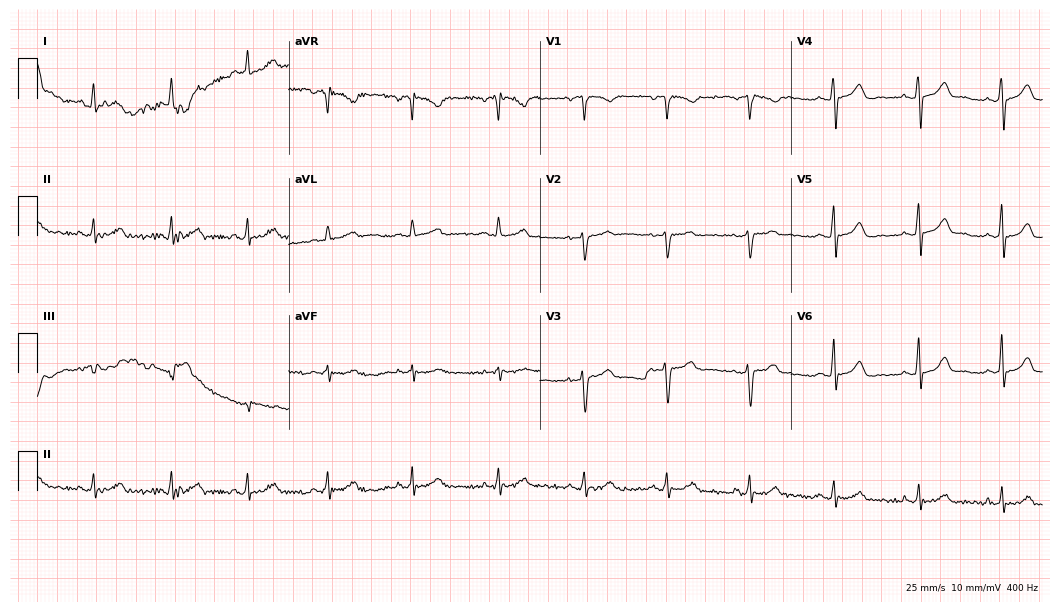
Electrocardiogram, a female, 47 years old. Overall reading on record: normal ECG.